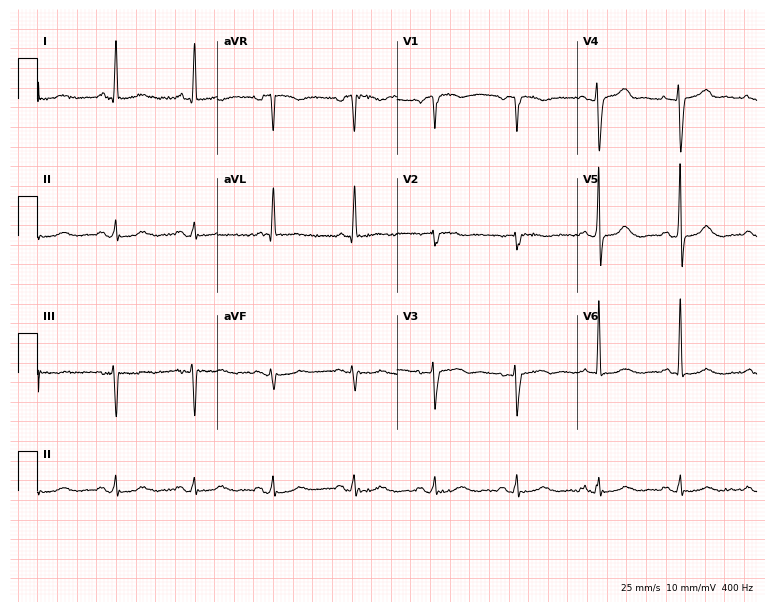
Standard 12-lead ECG recorded from a female patient, 79 years old. Read as a normal ECG.